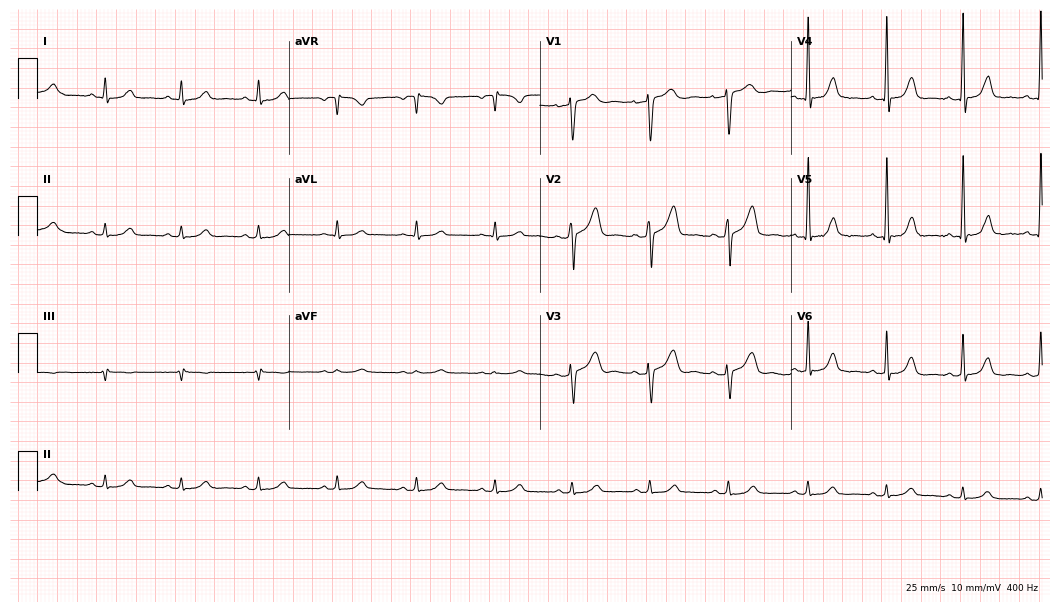
Electrocardiogram (10.2-second recording at 400 Hz), a female patient, 55 years old. Overall reading on record: normal ECG.